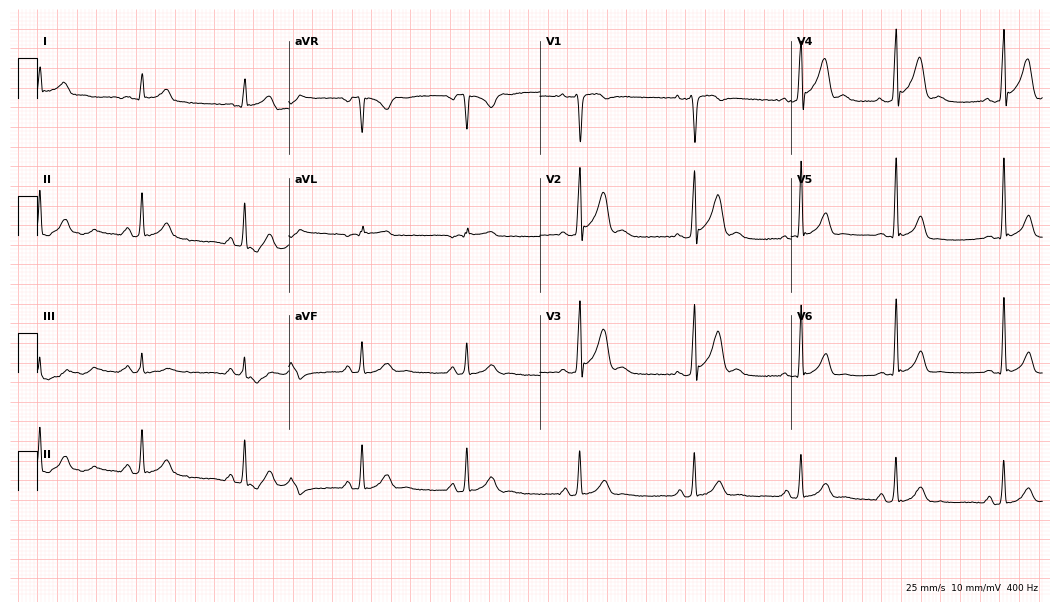
12-lead ECG from a male, 25 years old (10.2-second recording at 400 Hz). Recorded interpretation: within normal limits.